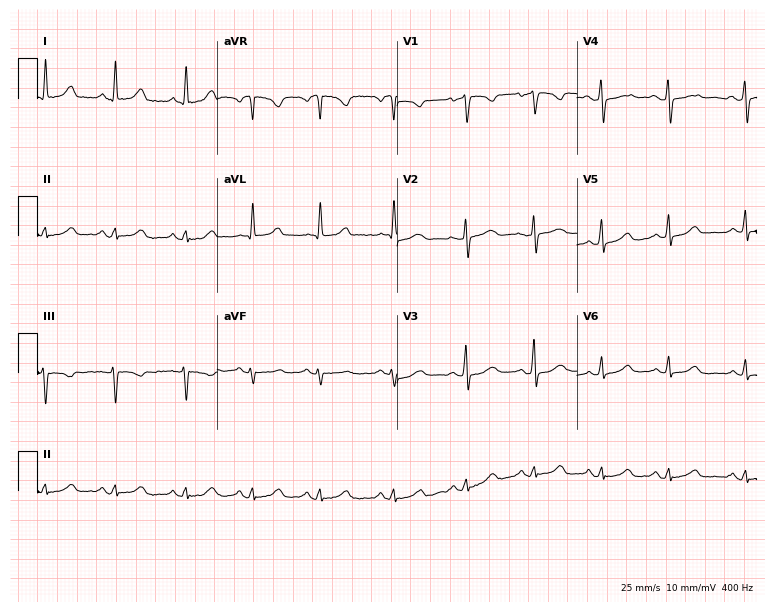
Resting 12-lead electrocardiogram (7.3-second recording at 400 Hz). Patient: a female, 63 years old. None of these six findings is recorded: first-degree AV block, right bundle branch block (RBBB), left bundle branch block (LBBB), sinus bradycardia, atrial fibrillation (AF), sinus tachycardia. Findings outside these six are not listed.